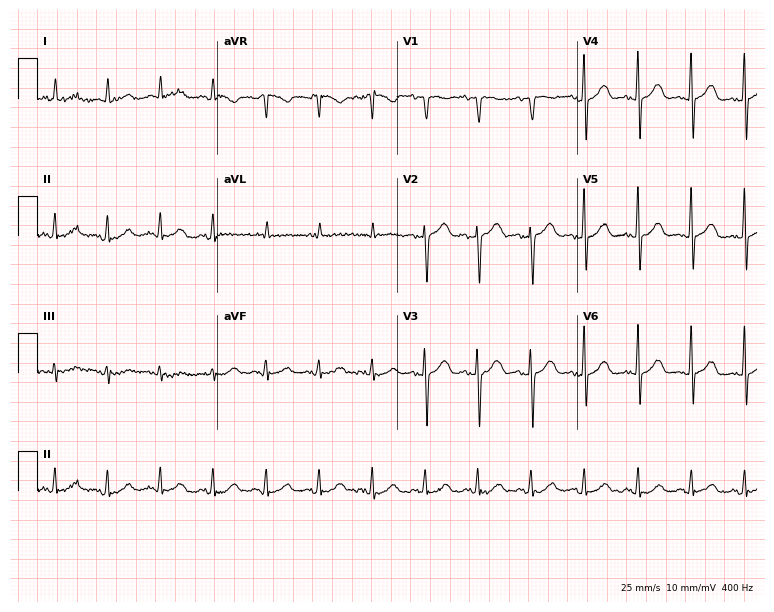
ECG — a woman, 73 years old. Findings include sinus tachycardia (a sinus rate of 100 beats per minute or more).